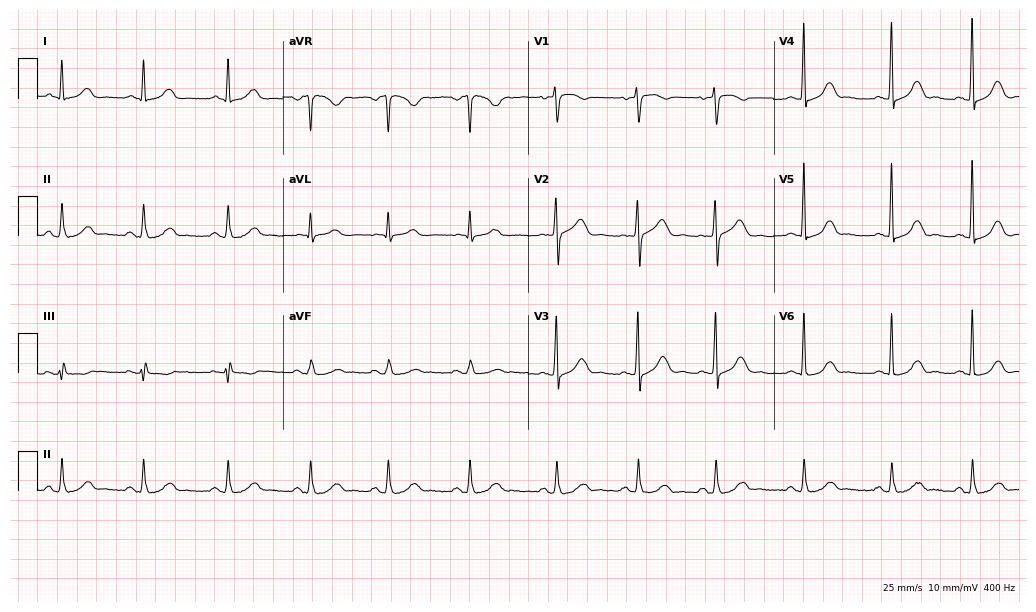
Electrocardiogram (10-second recording at 400 Hz), a 58-year-old female patient. Of the six screened findings (first-degree AV block, right bundle branch block, left bundle branch block, sinus bradycardia, atrial fibrillation, sinus tachycardia), none is recorded. Findings outside these six are not listed.